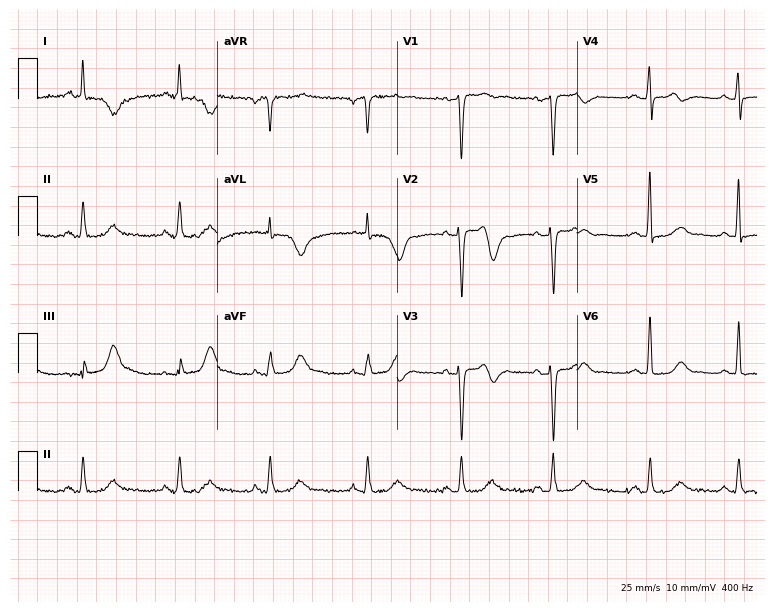
Electrocardiogram, a woman, 79 years old. Of the six screened findings (first-degree AV block, right bundle branch block, left bundle branch block, sinus bradycardia, atrial fibrillation, sinus tachycardia), none is recorded. Findings outside these six are not listed.